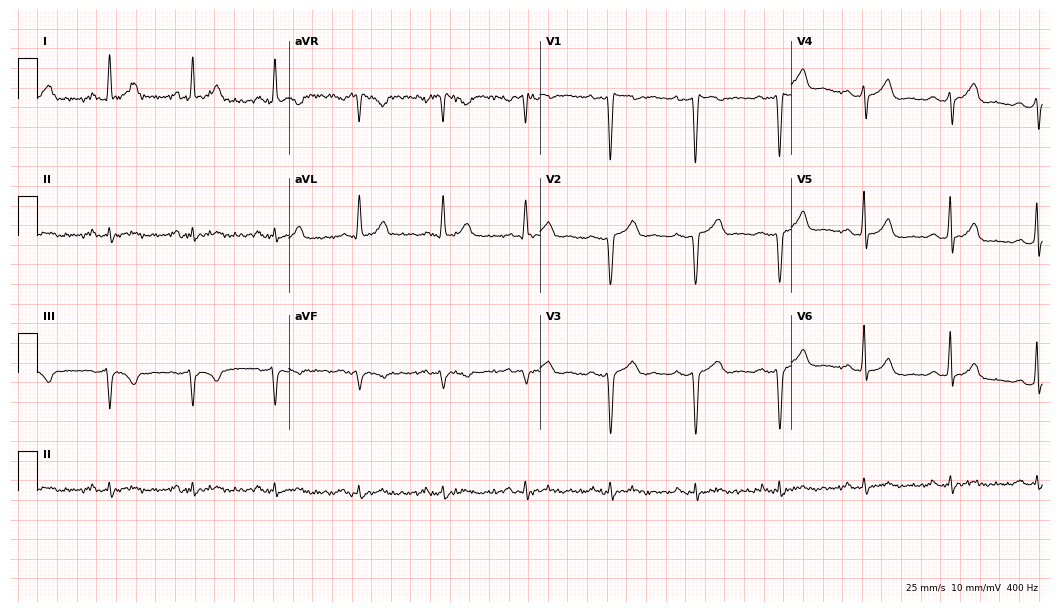
Standard 12-lead ECG recorded from a male patient, 53 years old. None of these six findings is recorded: first-degree AV block, right bundle branch block, left bundle branch block, sinus bradycardia, atrial fibrillation, sinus tachycardia. Findings outside these six are not listed.